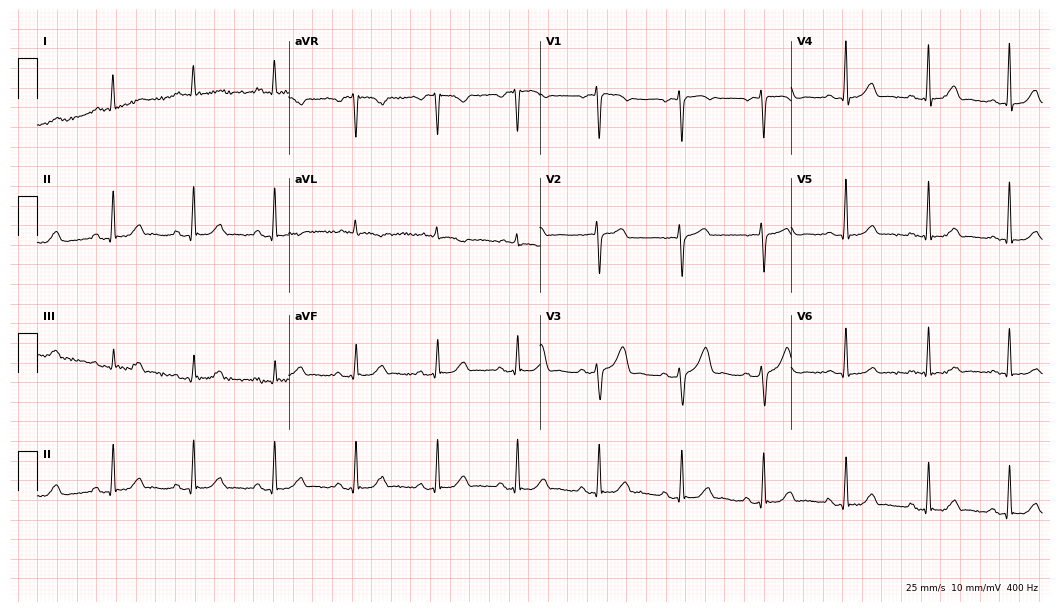
Resting 12-lead electrocardiogram (10.2-second recording at 400 Hz). Patient: a 55-year-old woman. Read as a normal ECG.